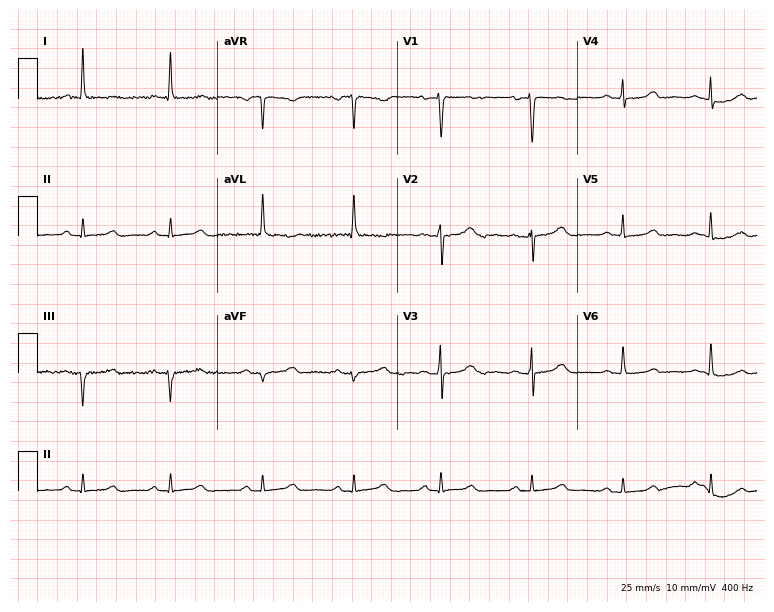
12-lead ECG from a 58-year-old woman. Recorded interpretation: within normal limits.